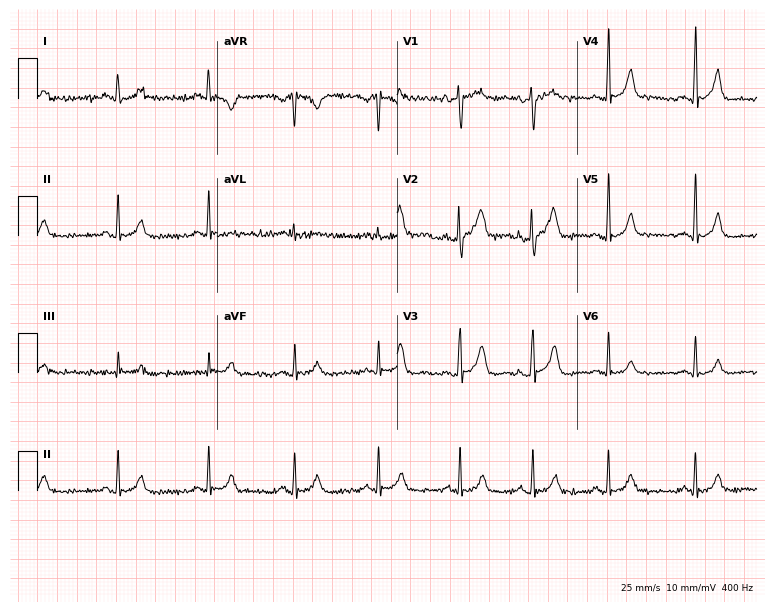
12-lead ECG from a woman, 23 years old (7.3-second recording at 400 Hz). No first-degree AV block, right bundle branch block, left bundle branch block, sinus bradycardia, atrial fibrillation or sinus tachycardia recorded for this tracing.